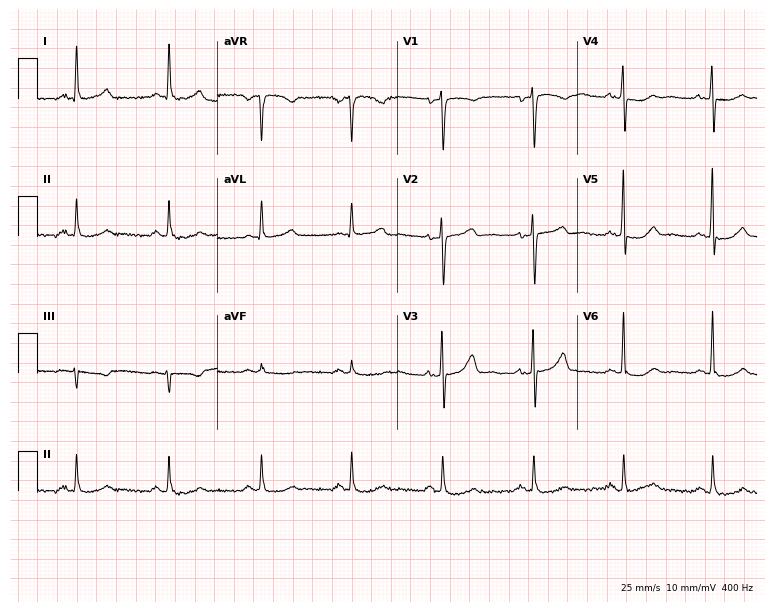
12-lead ECG from a woman, 58 years old (7.3-second recording at 400 Hz). Recorded interpretation: within normal limits.